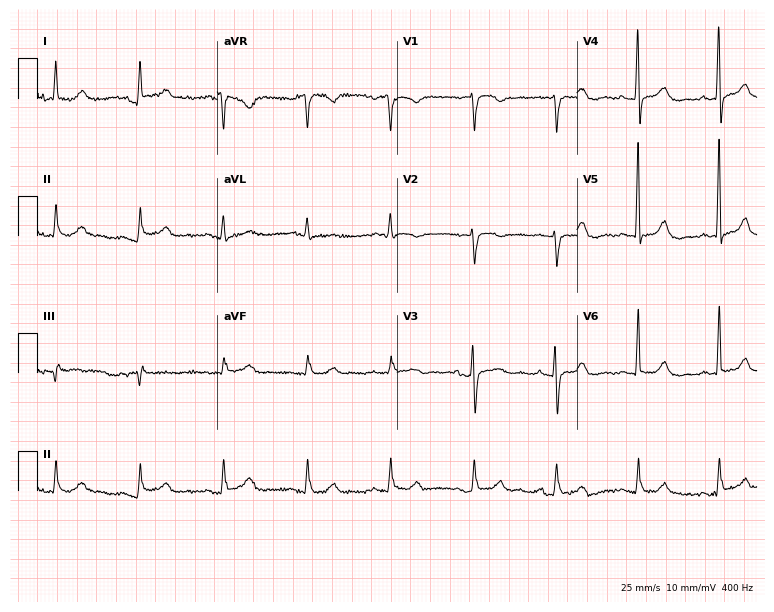
Standard 12-lead ECG recorded from a female, 74 years old (7.3-second recording at 400 Hz). None of these six findings is recorded: first-degree AV block, right bundle branch block, left bundle branch block, sinus bradycardia, atrial fibrillation, sinus tachycardia.